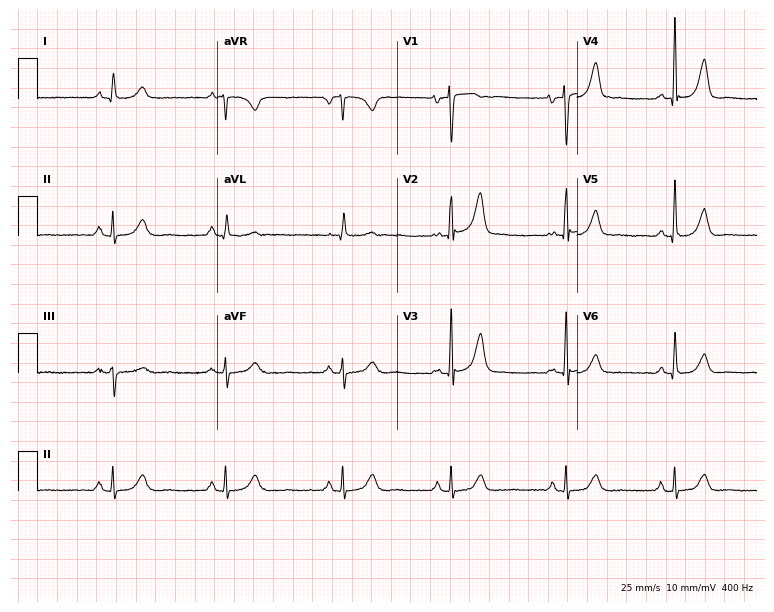
ECG — a 65-year-old female patient. Labelled as a normal ECG.